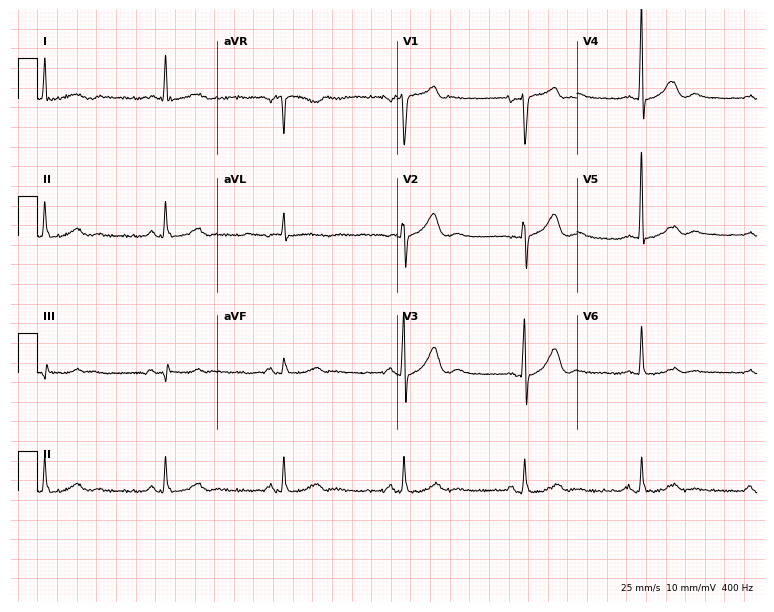
12-lead ECG (7.3-second recording at 400 Hz) from a man, 71 years old. Findings include sinus bradycardia (a sinus rate of 50 beats per minute or less).